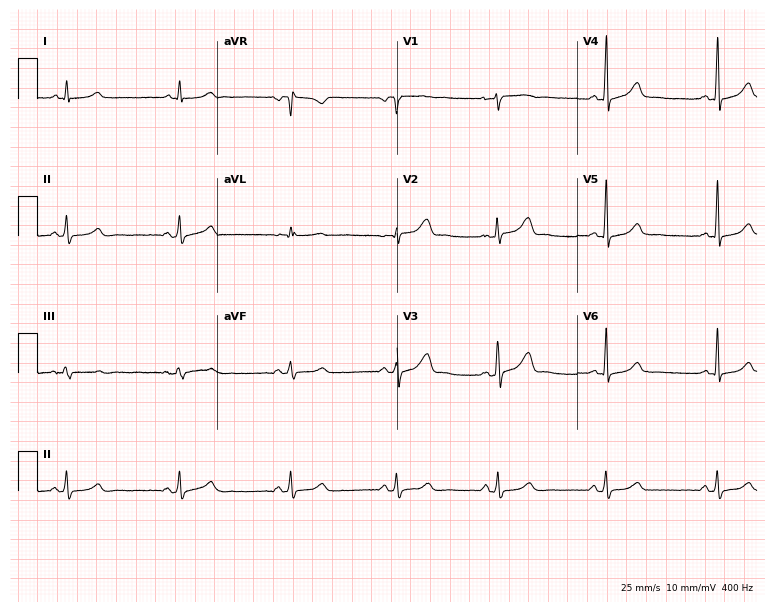
12-lead ECG from a woman, 39 years old (7.3-second recording at 400 Hz). Recorded interpretation: within normal limits.